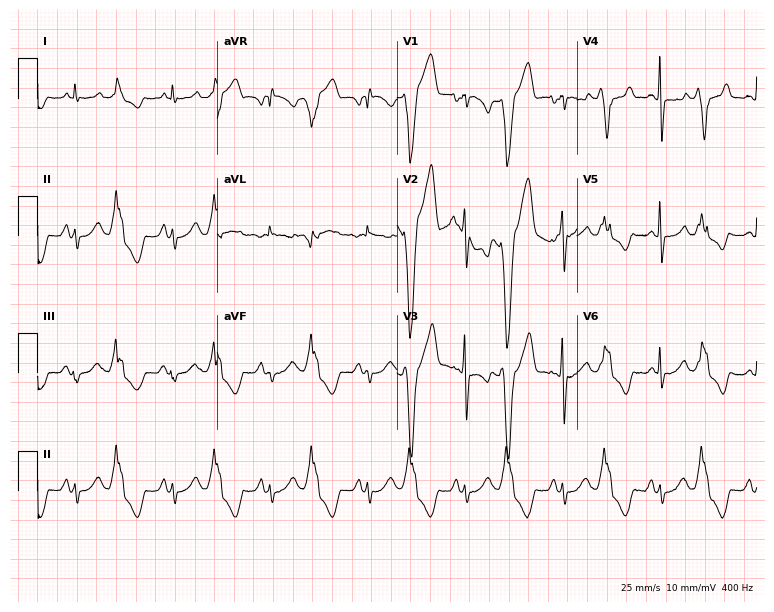
Electrocardiogram, a man, 67 years old. Of the six screened findings (first-degree AV block, right bundle branch block (RBBB), left bundle branch block (LBBB), sinus bradycardia, atrial fibrillation (AF), sinus tachycardia), none is recorded.